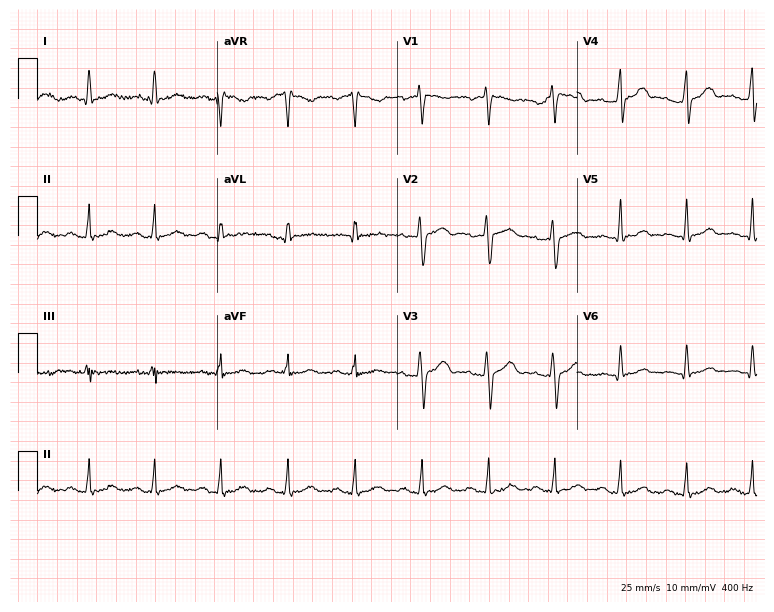
Electrocardiogram, a 44-year-old female. Of the six screened findings (first-degree AV block, right bundle branch block, left bundle branch block, sinus bradycardia, atrial fibrillation, sinus tachycardia), none is recorded. Only these six findings were labelled.